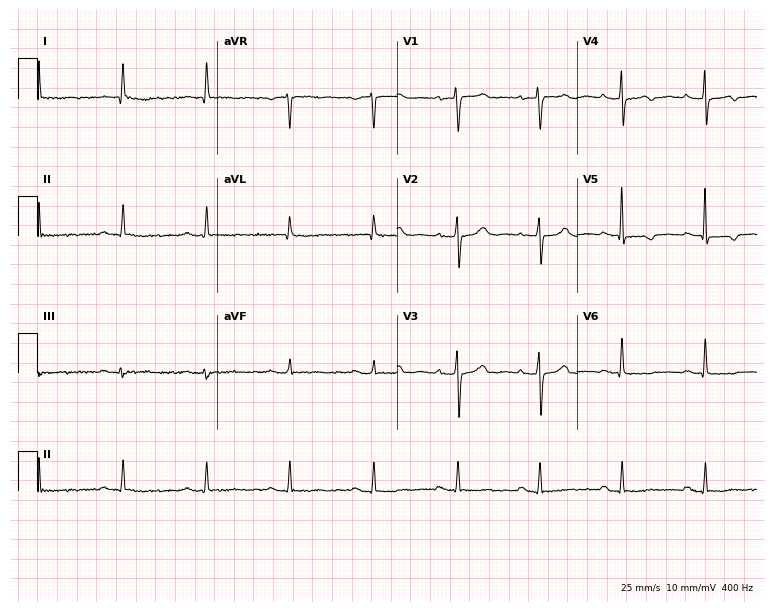
ECG (7.3-second recording at 400 Hz) — a female, 75 years old. Screened for six findings — first-degree AV block, right bundle branch block, left bundle branch block, sinus bradycardia, atrial fibrillation, sinus tachycardia — none is recorded.